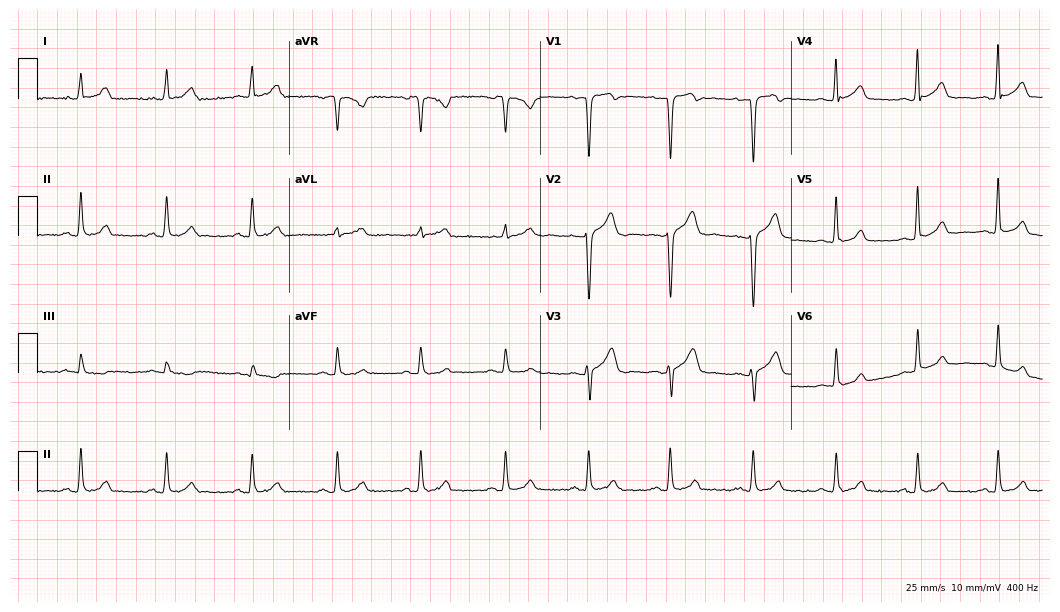
Standard 12-lead ECG recorded from a 37-year-old man (10.2-second recording at 400 Hz). None of these six findings is recorded: first-degree AV block, right bundle branch block (RBBB), left bundle branch block (LBBB), sinus bradycardia, atrial fibrillation (AF), sinus tachycardia. Only these six findings were labelled.